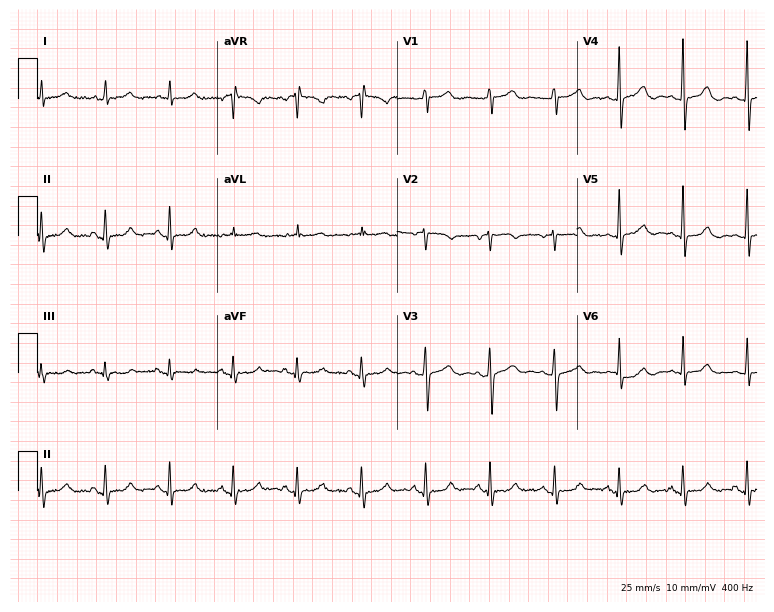
Resting 12-lead electrocardiogram (7.3-second recording at 400 Hz). Patient: a 79-year-old female. None of these six findings is recorded: first-degree AV block, right bundle branch block (RBBB), left bundle branch block (LBBB), sinus bradycardia, atrial fibrillation (AF), sinus tachycardia.